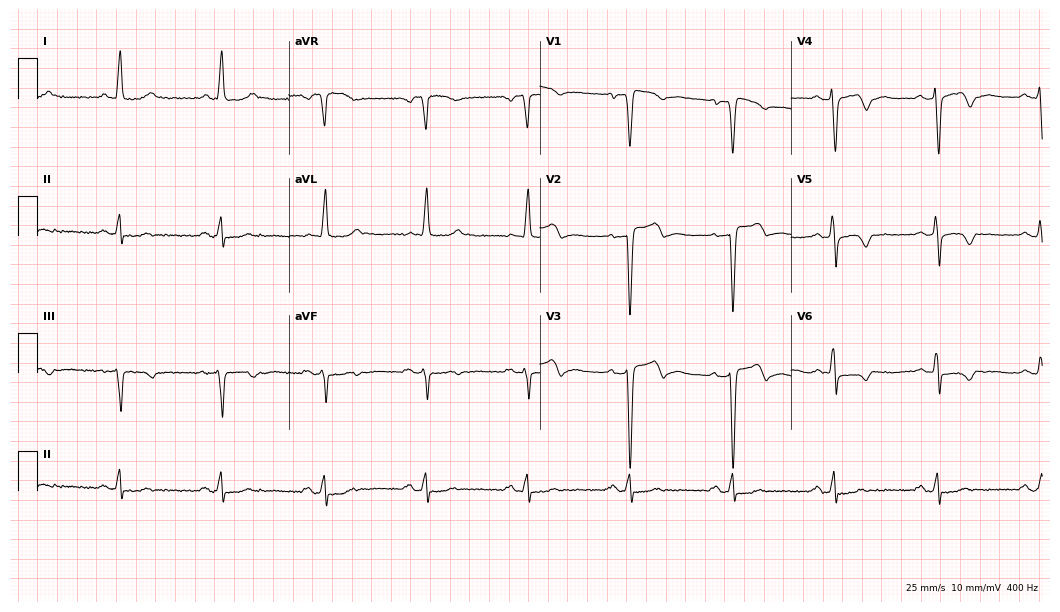
12-lead ECG (10.2-second recording at 400 Hz) from a 70-year-old woman. Screened for six findings — first-degree AV block, right bundle branch block, left bundle branch block, sinus bradycardia, atrial fibrillation, sinus tachycardia — none is recorded. Only these six findings were labelled.